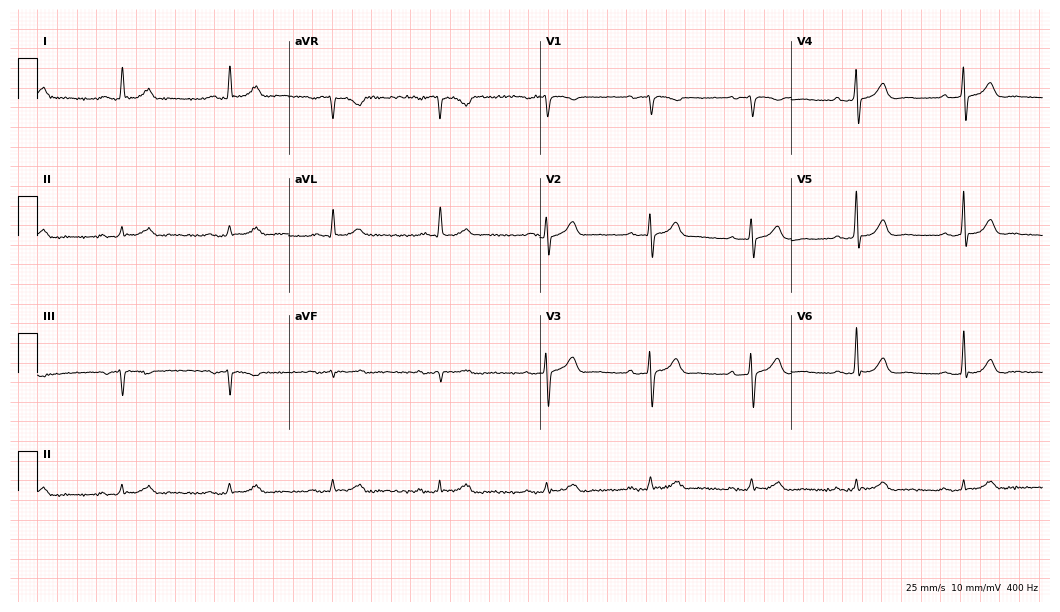
Resting 12-lead electrocardiogram (10.2-second recording at 400 Hz). Patient: a man, 79 years old. Read as a normal ECG.